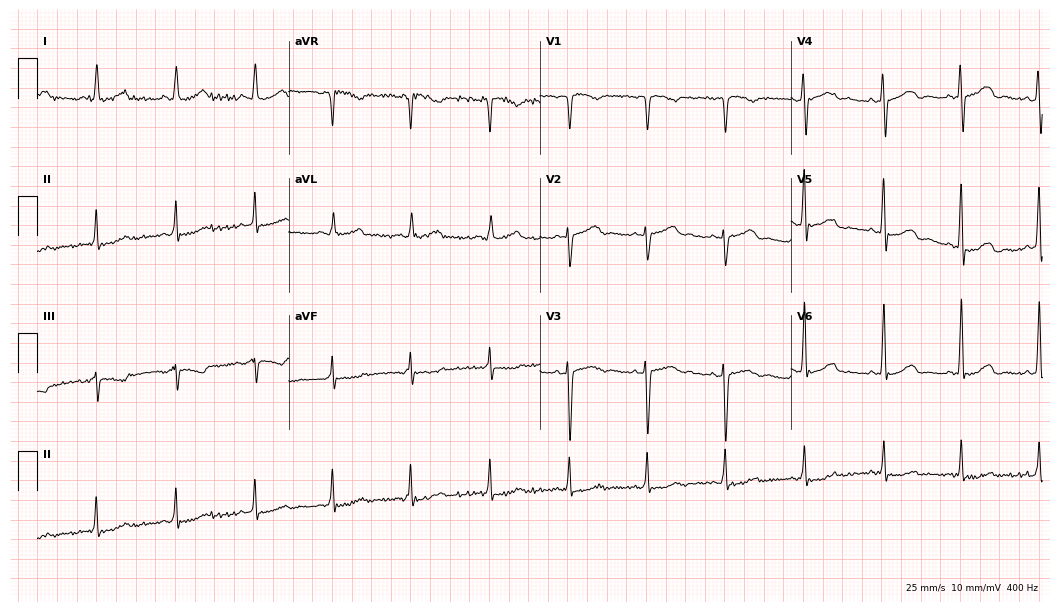
12-lead ECG from a woman, 52 years old (10.2-second recording at 400 Hz). No first-degree AV block, right bundle branch block (RBBB), left bundle branch block (LBBB), sinus bradycardia, atrial fibrillation (AF) or sinus tachycardia recorded for this tracing. Other findings, if any, are not listed.